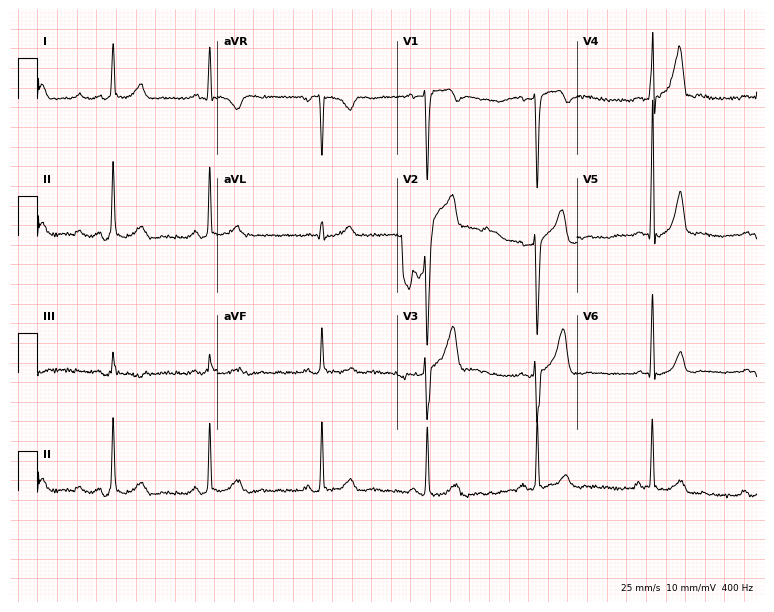
Standard 12-lead ECG recorded from a male, 60 years old. None of these six findings is recorded: first-degree AV block, right bundle branch block (RBBB), left bundle branch block (LBBB), sinus bradycardia, atrial fibrillation (AF), sinus tachycardia.